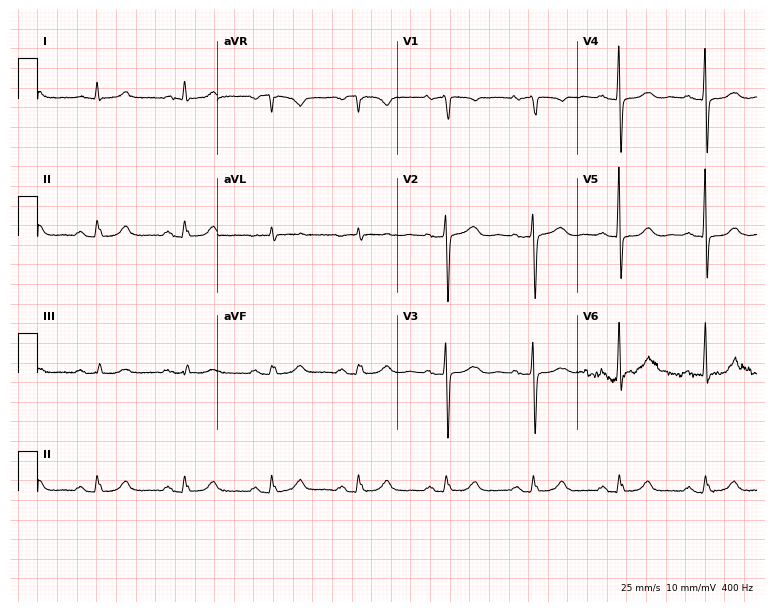
Electrocardiogram, a male patient, 79 years old. Overall reading on record: normal ECG.